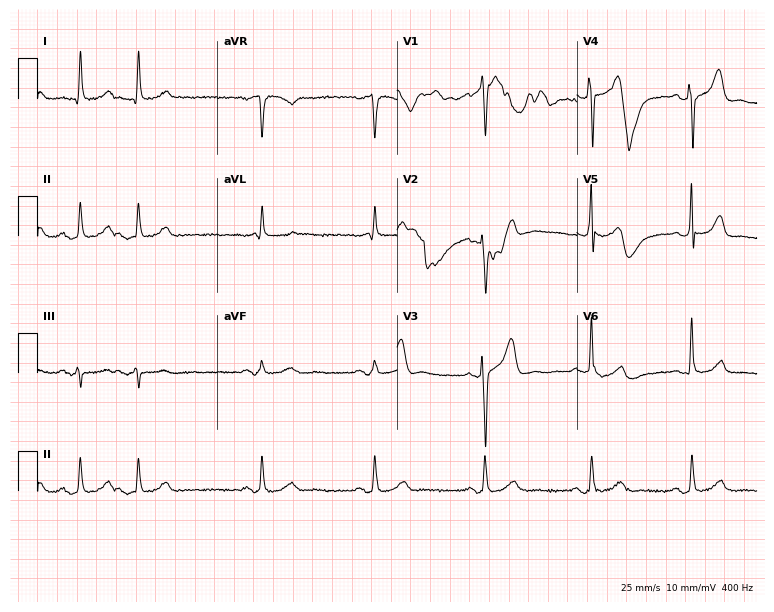
Resting 12-lead electrocardiogram (7.3-second recording at 400 Hz). Patient: a 73-year-old male. None of these six findings is recorded: first-degree AV block, right bundle branch block, left bundle branch block, sinus bradycardia, atrial fibrillation, sinus tachycardia. Findings outside these six are not listed.